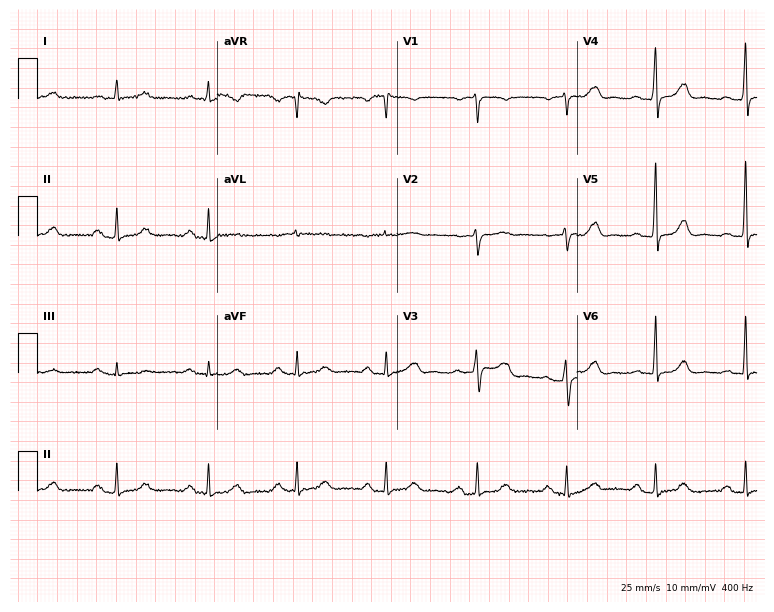
12-lead ECG from a female patient, 58 years old. Recorded interpretation: within normal limits.